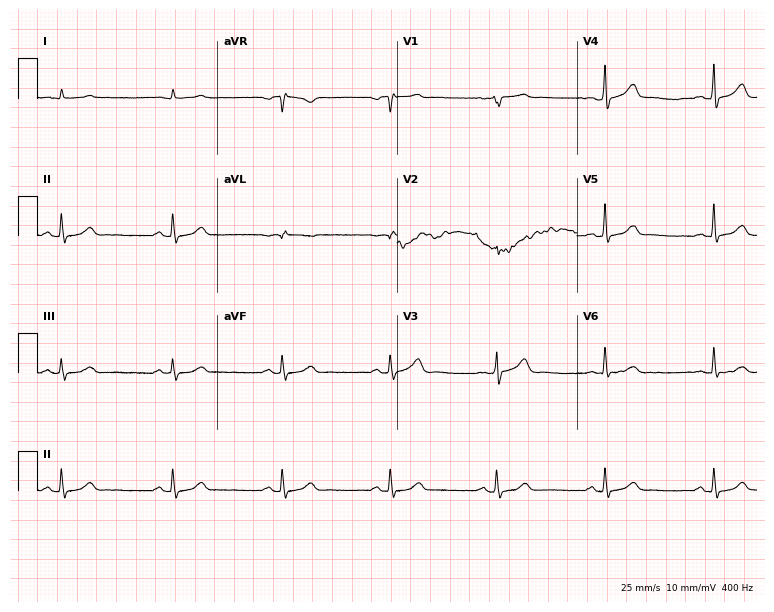
Electrocardiogram, a man, 72 years old. Overall reading on record: normal ECG.